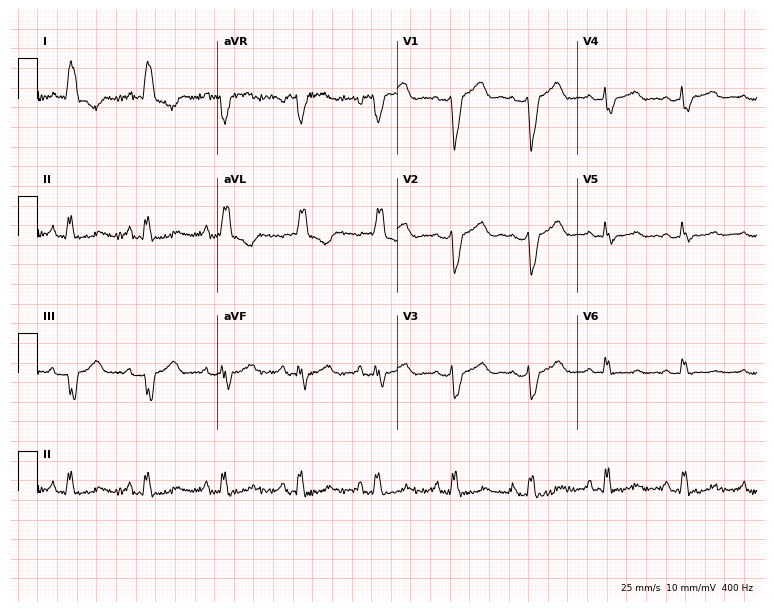
Resting 12-lead electrocardiogram. Patient: a woman, 77 years old. The tracing shows left bundle branch block (LBBB).